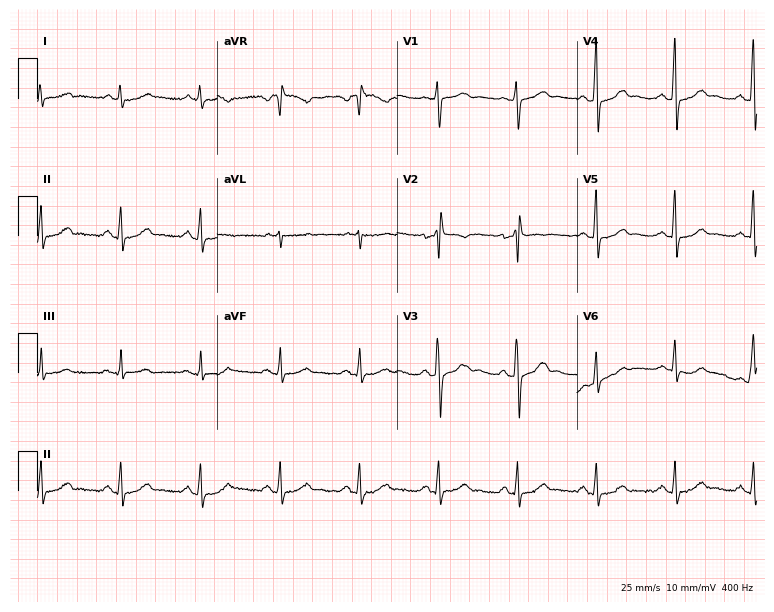
ECG (7.3-second recording at 400 Hz) — a 62-year-old man. Screened for six findings — first-degree AV block, right bundle branch block, left bundle branch block, sinus bradycardia, atrial fibrillation, sinus tachycardia — none is recorded. Only these six findings were labelled.